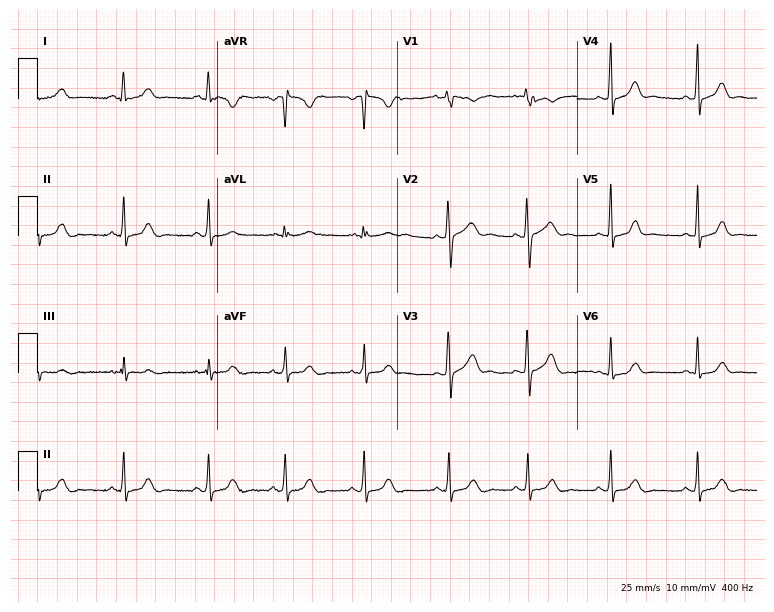
Resting 12-lead electrocardiogram. Patient: a 19-year-old female. Read as a normal ECG.